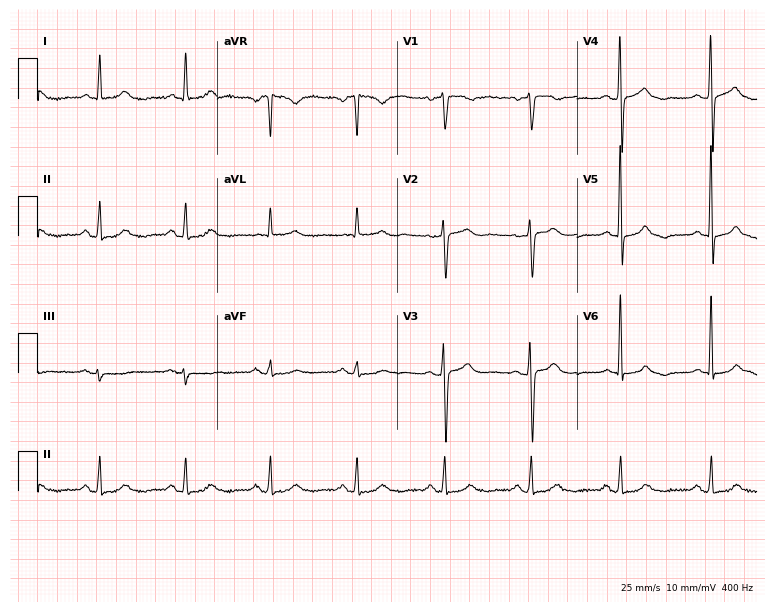
ECG (7.3-second recording at 400 Hz) — a female patient, 84 years old. Screened for six findings — first-degree AV block, right bundle branch block (RBBB), left bundle branch block (LBBB), sinus bradycardia, atrial fibrillation (AF), sinus tachycardia — none is recorded. Findings outside these six are not listed.